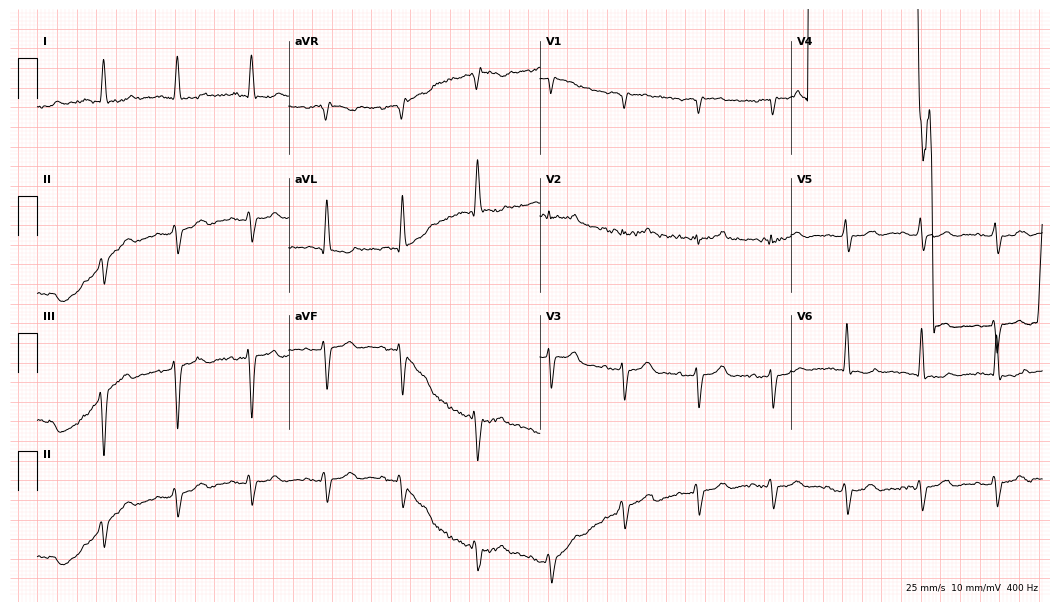
12-lead ECG (10.2-second recording at 400 Hz) from an 81-year-old male. Screened for six findings — first-degree AV block, right bundle branch block, left bundle branch block, sinus bradycardia, atrial fibrillation, sinus tachycardia — none is recorded. Only these six findings were labelled.